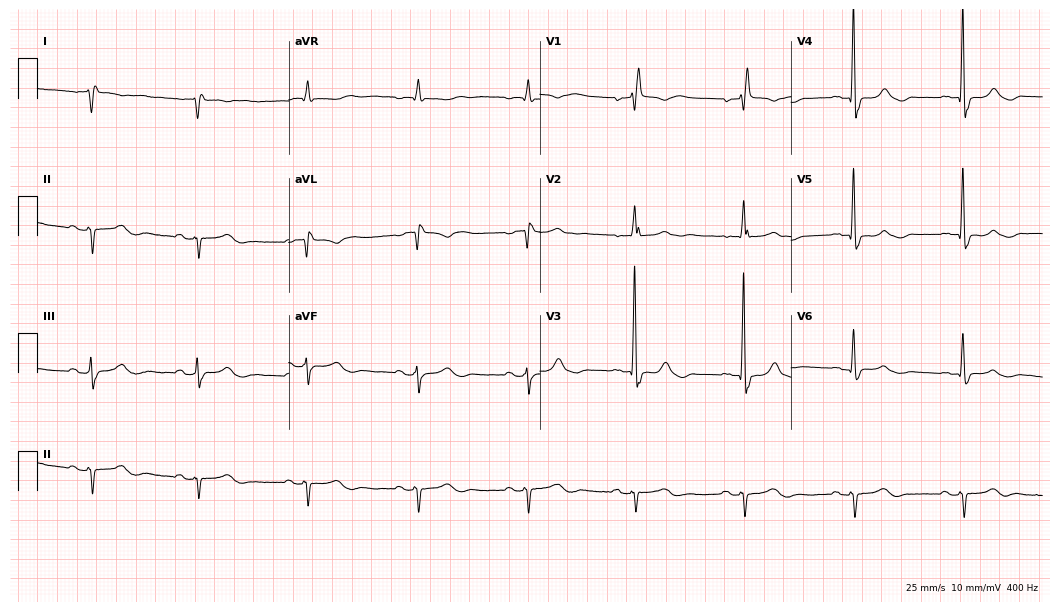
12-lead ECG from an 83-year-old female patient. No first-degree AV block, right bundle branch block, left bundle branch block, sinus bradycardia, atrial fibrillation or sinus tachycardia recorded for this tracing.